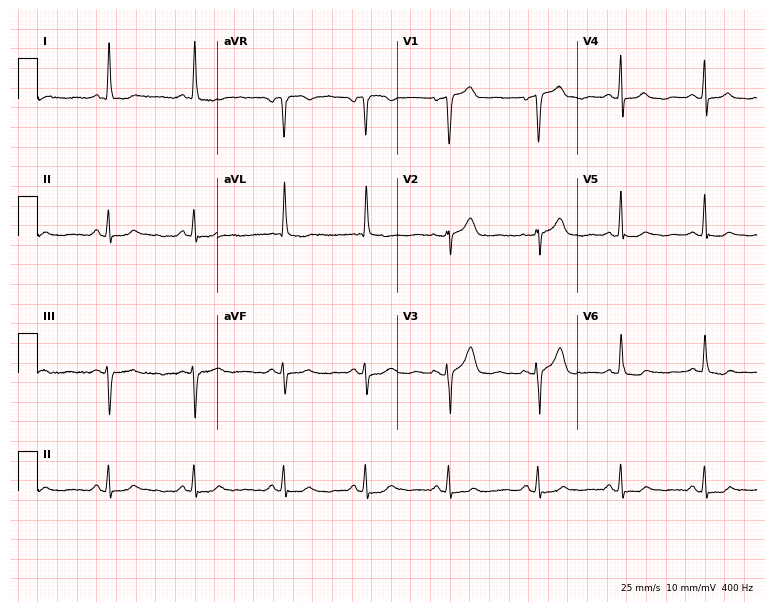
Resting 12-lead electrocardiogram. Patient: a 54-year-old female. None of these six findings is recorded: first-degree AV block, right bundle branch block, left bundle branch block, sinus bradycardia, atrial fibrillation, sinus tachycardia.